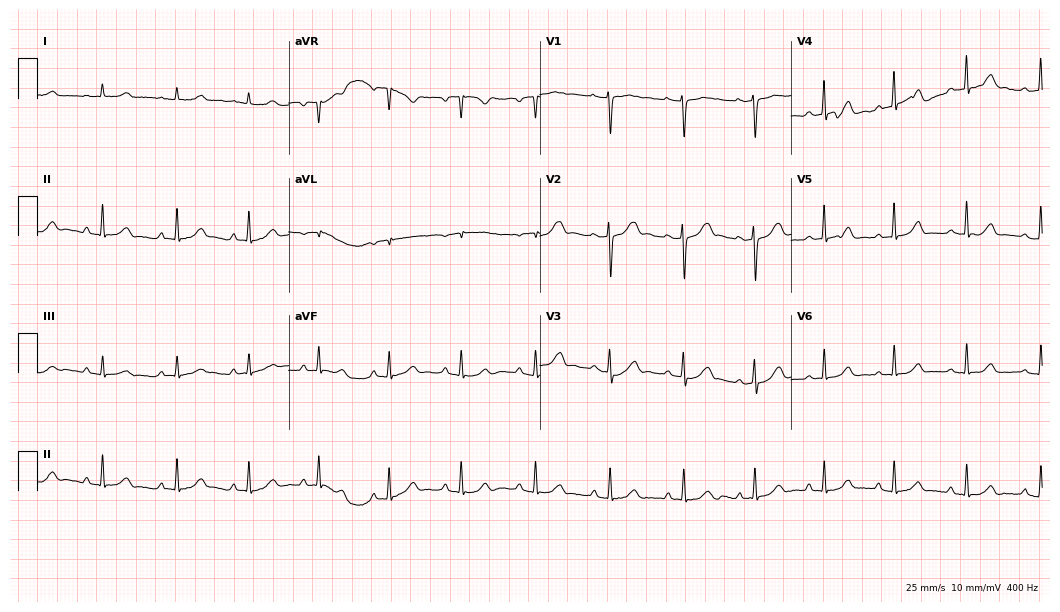
ECG — a female, 40 years old. Labelled as a normal ECG.